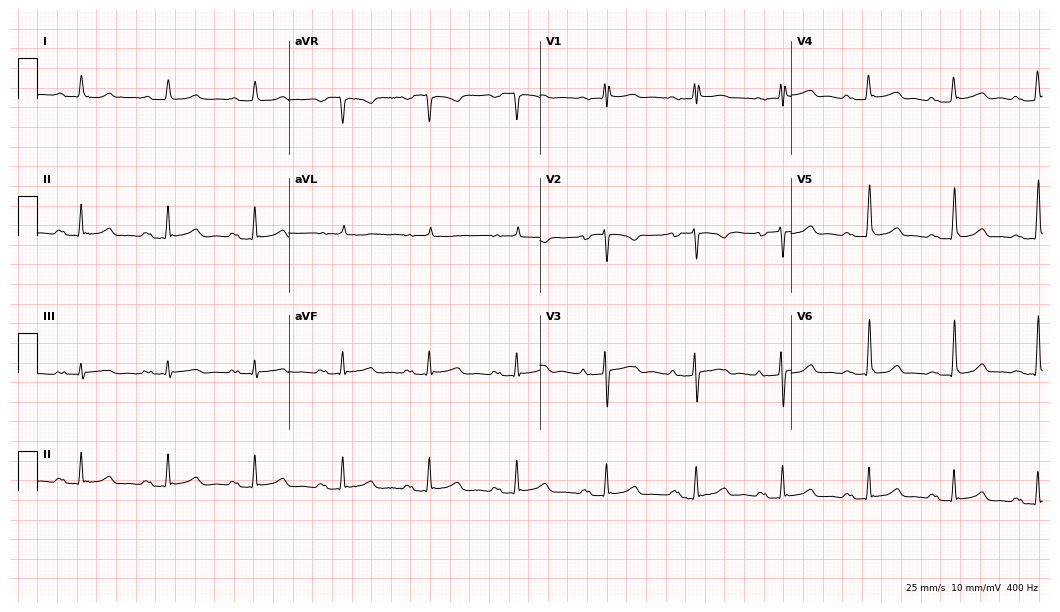
ECG (10.2-second recording at 400 Hz) — a 39-year-old female. Findings include first-degree AV block.